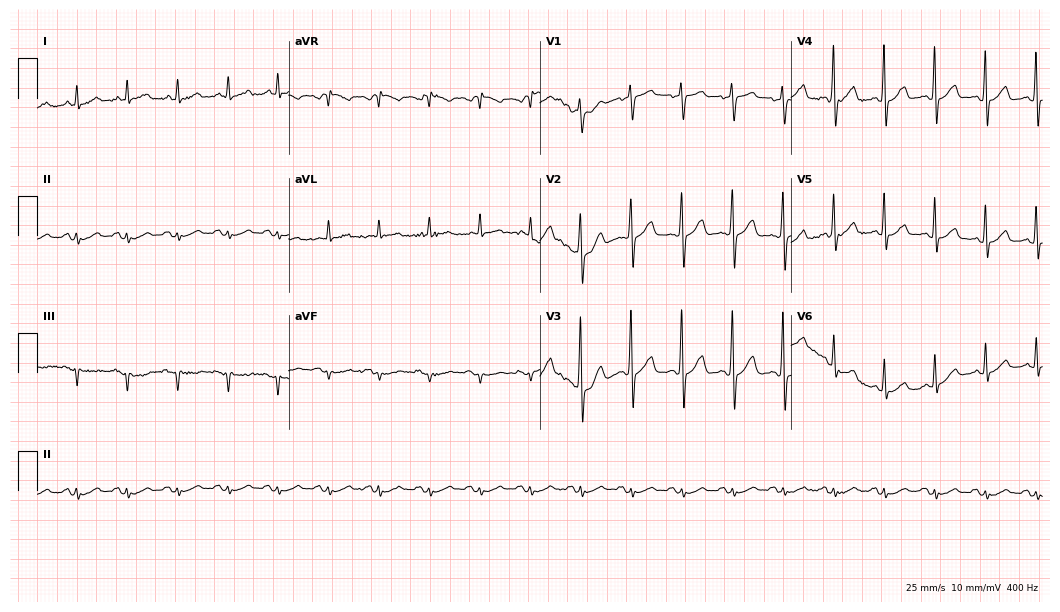
ECG (10.2-second recording at 400 Hz) — a male, 84 years old. Findings include sinus tachycardia (a sinus rate of 100 beats per minute or more).